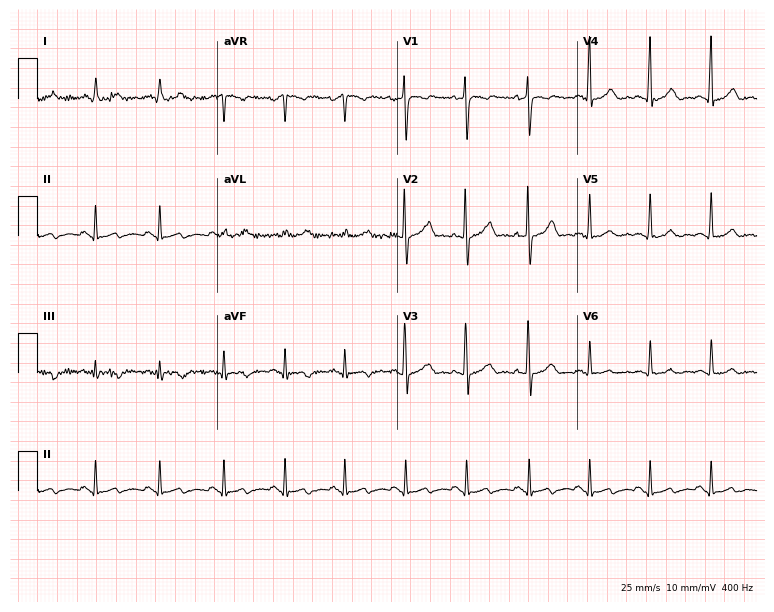
12-lead ECG from a 43-year-old female patient. No first-degree AV block, right bundle branch block, left bundle branch block, sinus bradycardia, atrial fibrillation or sinus tachycardia recorded for this tracing.